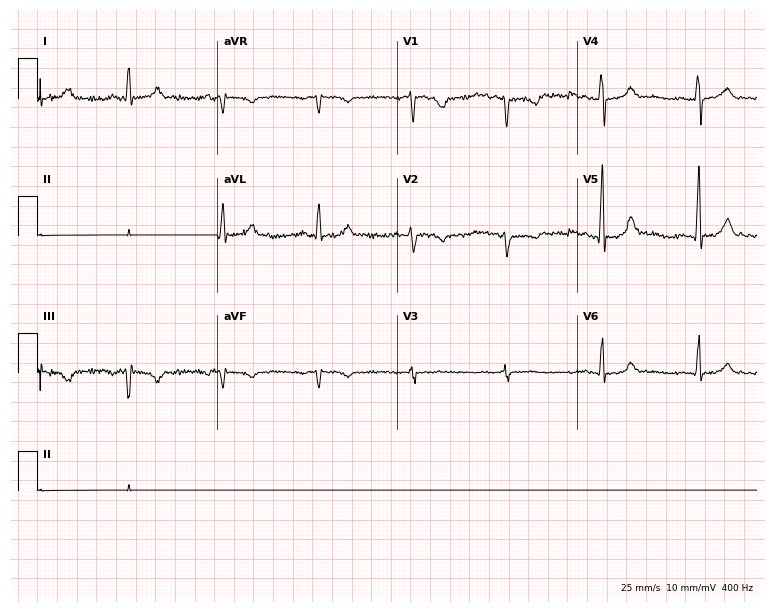
ECG (7.3-second recording at 400 Hz) — a 64-year-old woman. Labelled as a normal ECG.